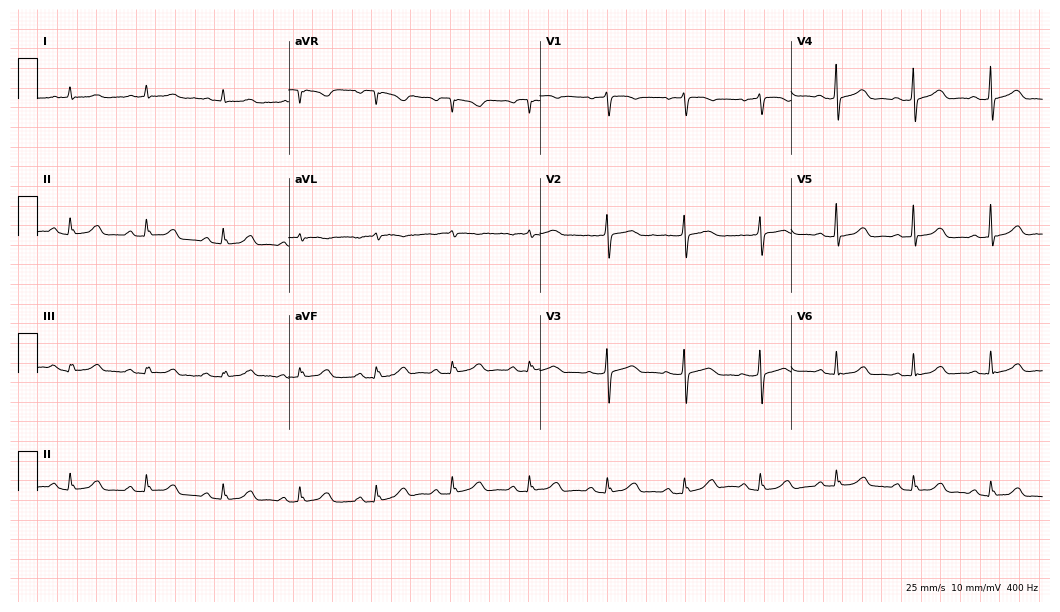
Electrocardiogram (10.2-second recording at 400 Hz), a 64-year-old female patient. Overall reading on record: normal ECG.